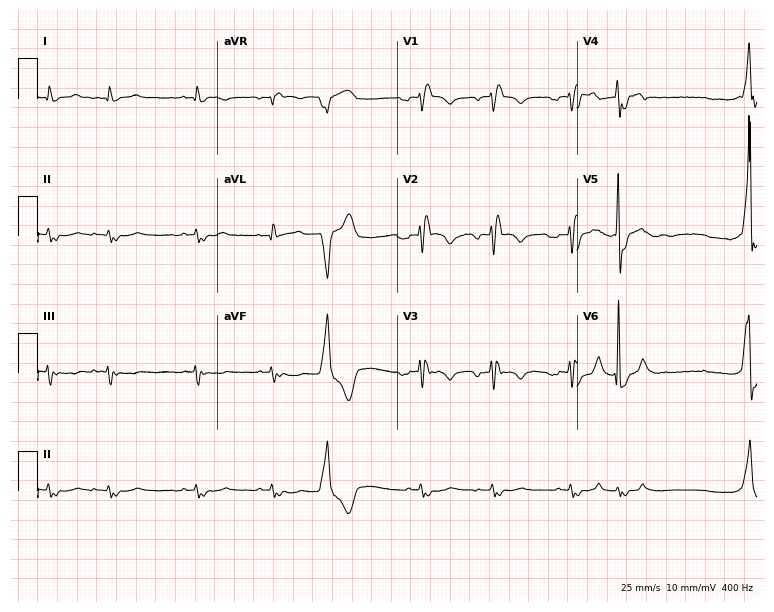
Standard 12-lead ECG recorded from a male patient, 84 years old. The tracing shows right bundle branch block.